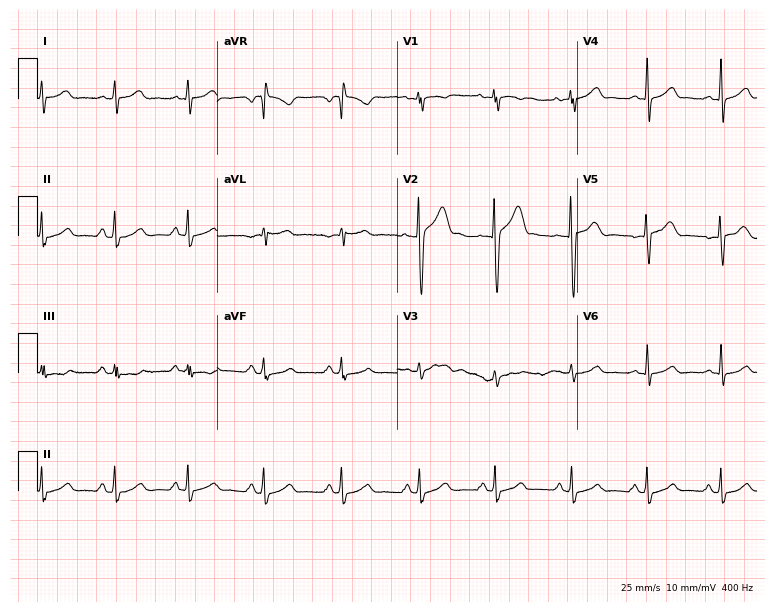
12-lead ECG from a male, 23 years old. Labelled as a normal ECG.